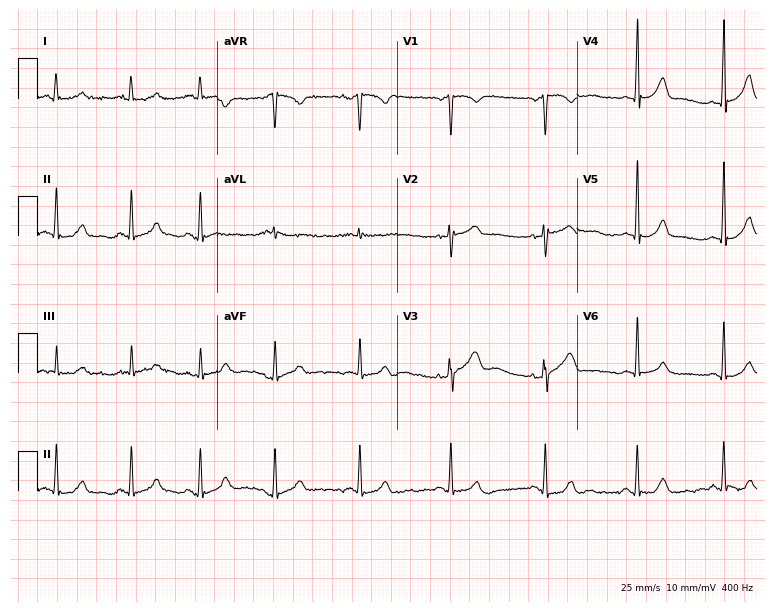
Electrocardiogram (7.3-second recording at 400 Hz), a female patient, 26 years old. Overall reading on record: normal ECG.